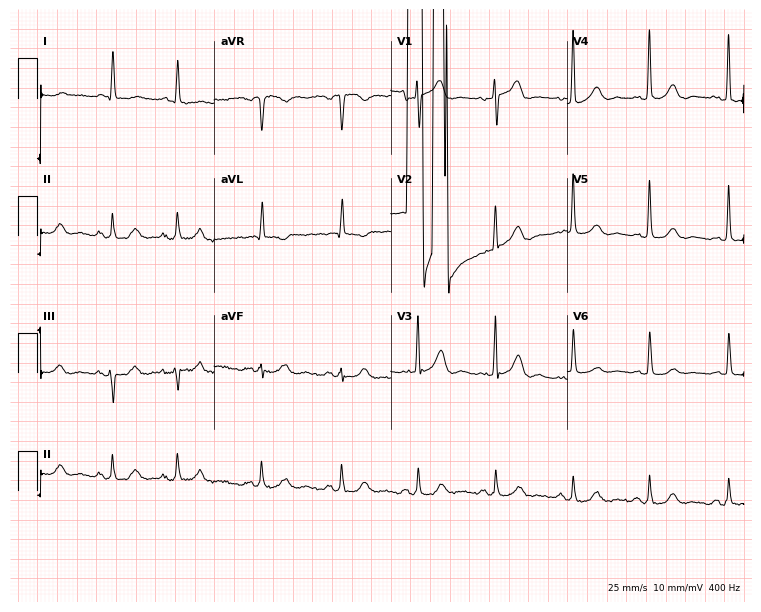
12-lead ECG from an 85-year-old female patient. No first-degree AV block, right bundle branch block, left bundle branch block, sinus bradycardia, atrial fibrillation or sinus tachycardia recorded for this tracing. Other findings, if any, are not listed.